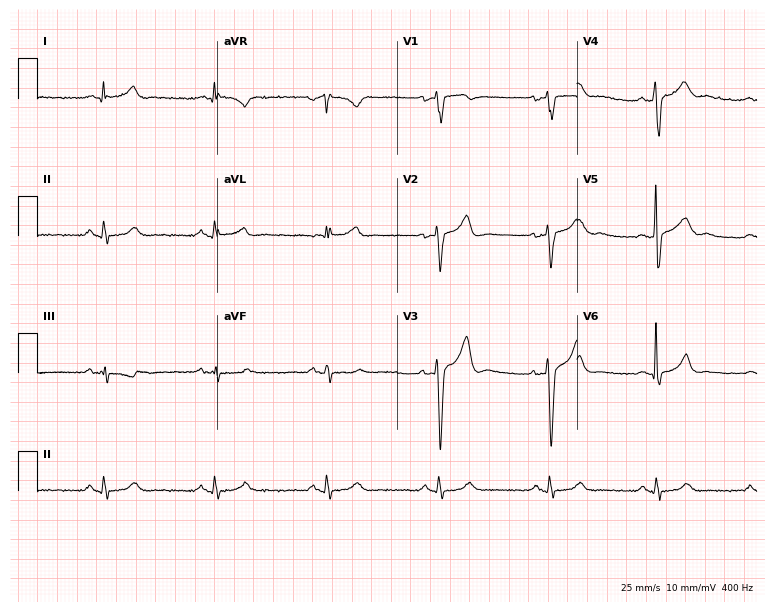
12-lead ECG (7.3-second recording at 400 Hz) from a 44-year-old male. Labelled as a normal ECG.